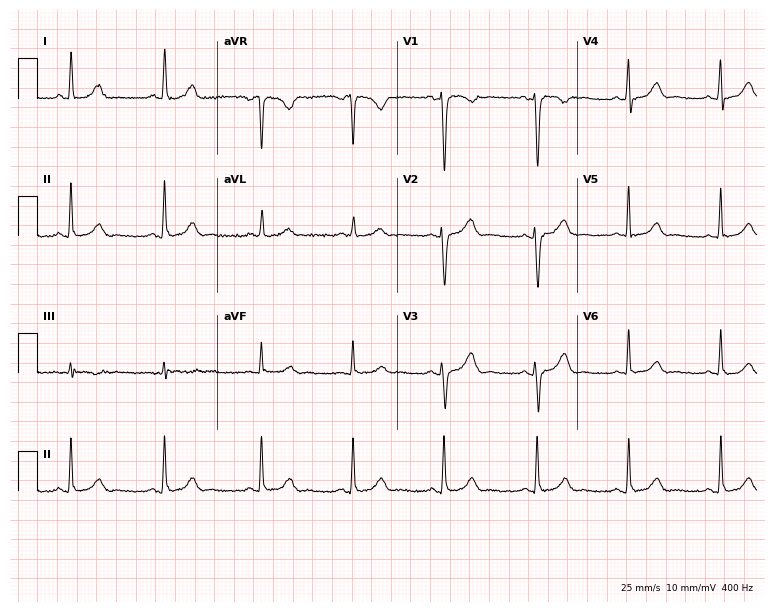
ECG (7.3-second recording at 400 Hz) — a female patient, 42 years old. Labelled as a normal ECG.